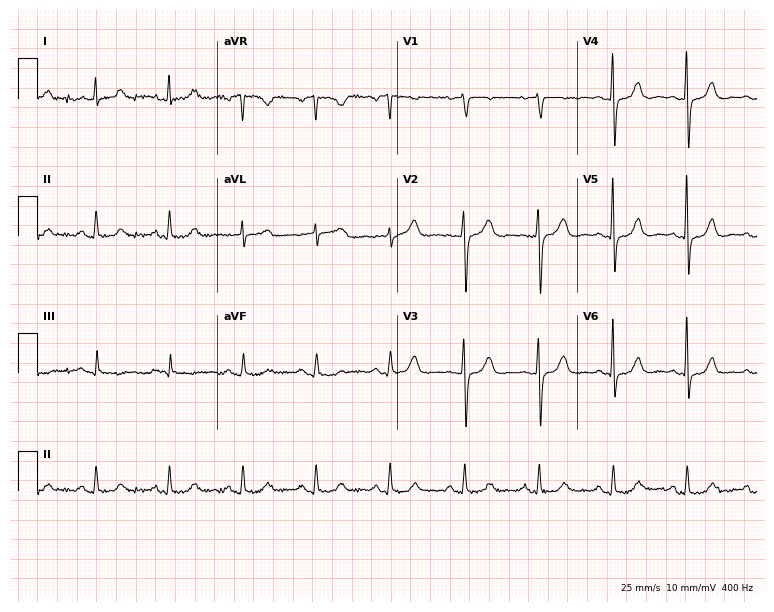
ECG — a 72-year-old woman. Screened for six findings — first-degree AV block, right bundle branch block, left bundle branch block, sinus bradycardia, atrial fibrillation, sinus tachycardia — none is recorded.